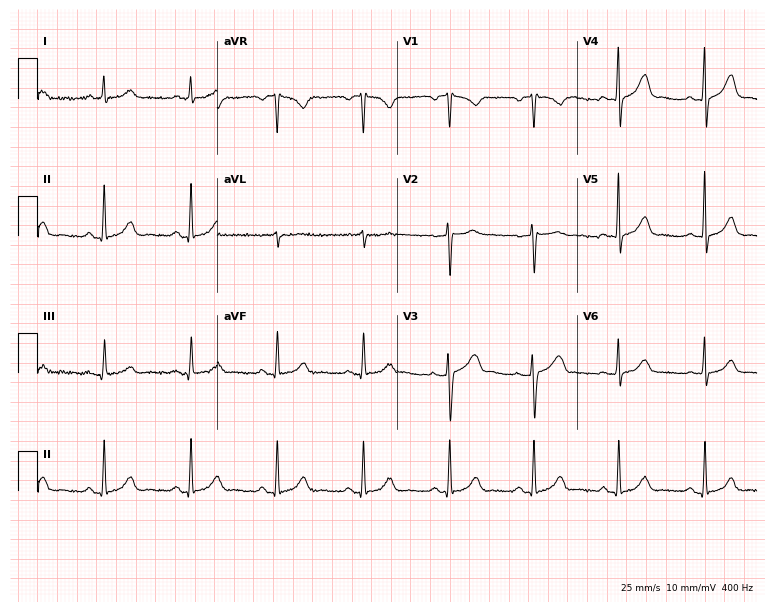
Electrocardiogram (7.3-second recording at 400 Hz), a 55-year-old male patient. Of the six screened findings (first-degree AV block, right bundle branch block, left bundle branch block, sinus bradycardia, atrial fibrillation, sinus tachycardia), none is recorded. Other findings, if any, are not listed.